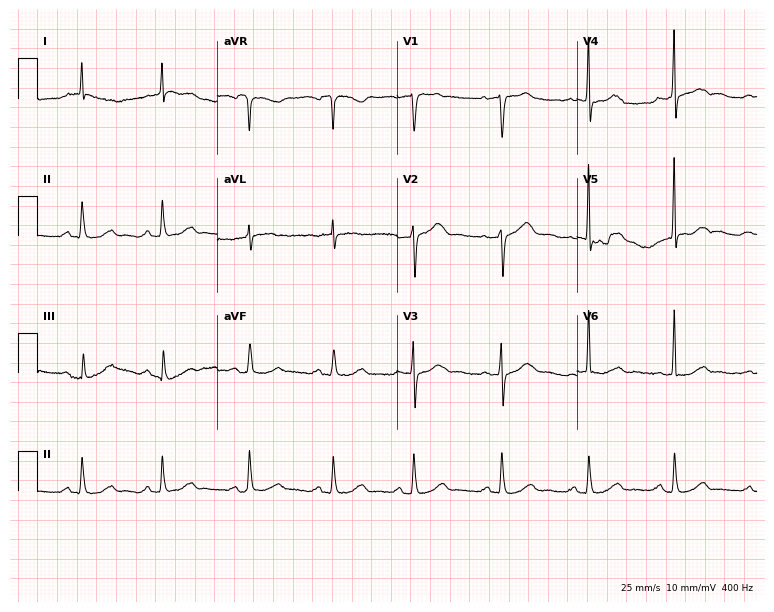
Standard 12-lead ECG recorded from a 60-year-old female. Read as a normal ECG.